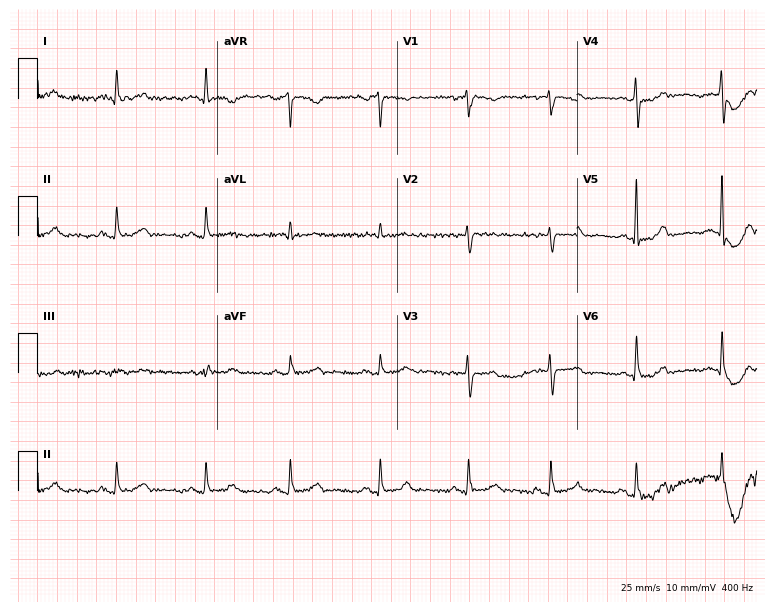
Resting 12-lead electrocardiogram. Patient: a female, 50 years old. None of these six findings is recorded: first-degree AV block, right bundle branch block, left bundle branch block, sinus bradycardia, atrial fibrillation, sinus tachycardia. Findings outside these six are not listed.